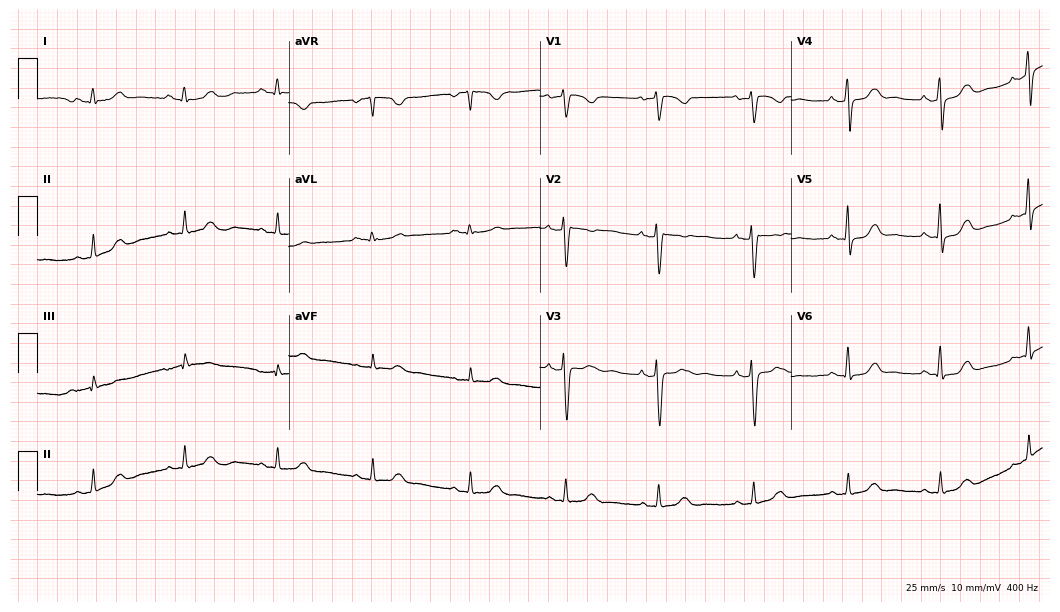
Standard 12-lead ECG recorded from a 50-year-old female patient (10.2-second recording at 400 Hz). None of these six findings is recorded: first-degree AV block, right bundle branch block, left bundle branch block, sinus bradycardia, atrial fibrillation, sinus tachycardia.